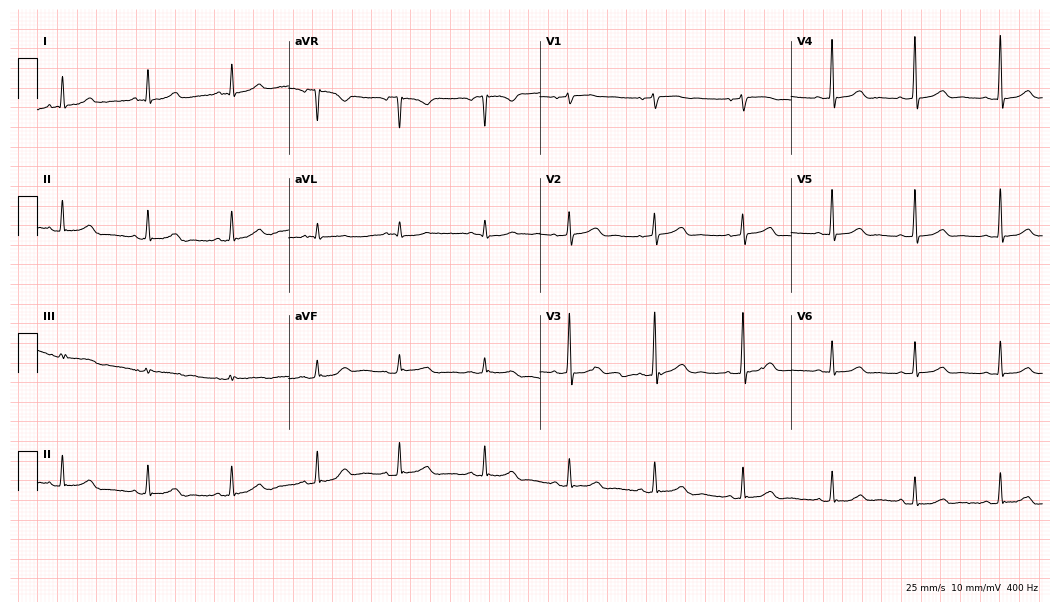
Resting 12-lead electrocardiogram. Patient: a woman, 67 years old. Read as a normal ECG.